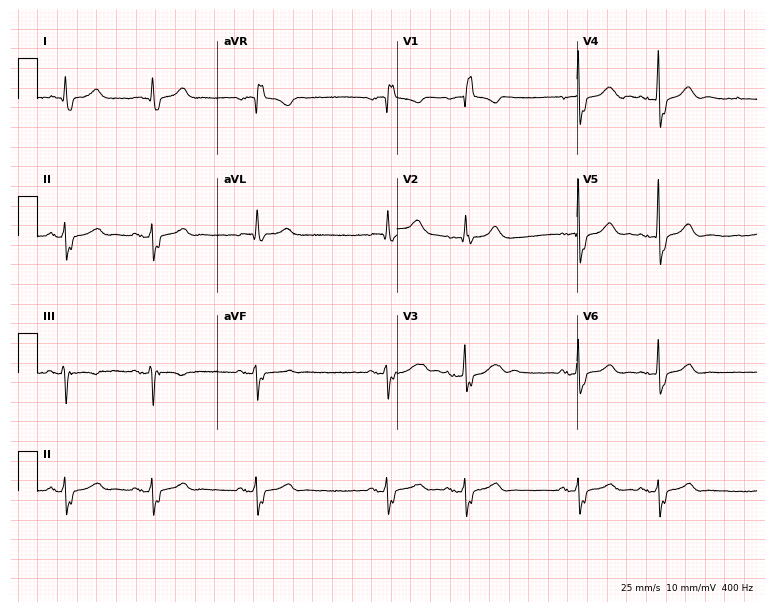
ECG (7.3-second recording at 400 Hz) — a 77-year-old man. Findings include right bundle branch block.